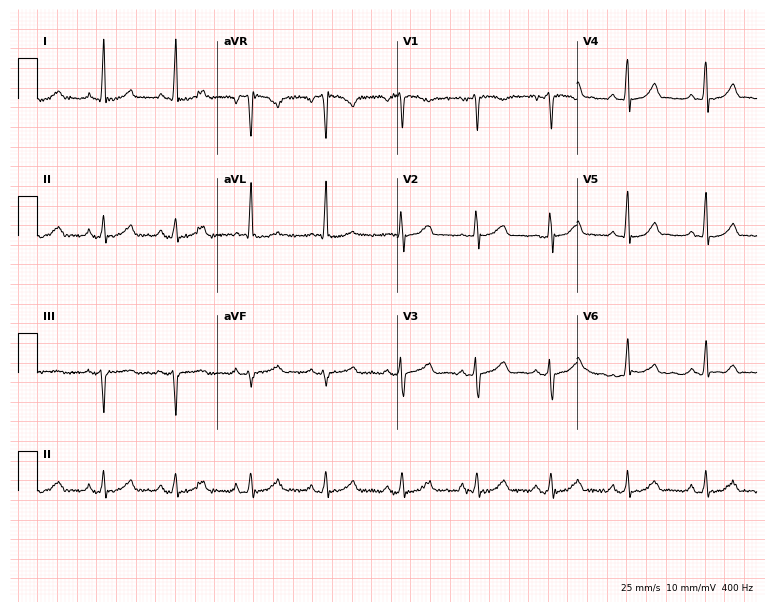
Resting 12-lead electrocardiogram. Patient: a 52-year-old female. Read as a normal ECG.